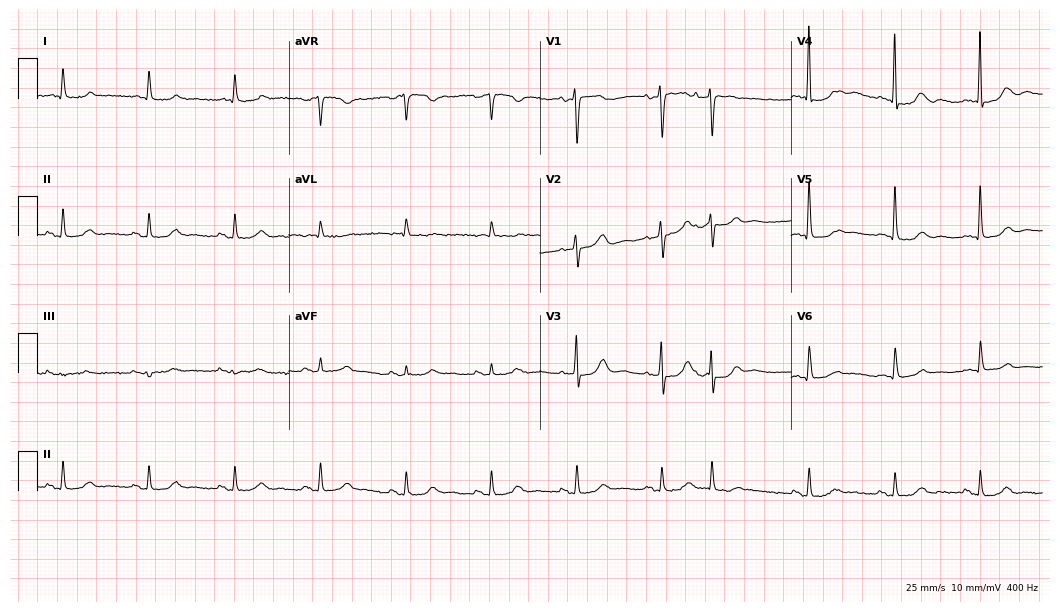
Resting 12-lead electrocardiogram. Patient: a female, 82 years old. Read as a normal ECG.